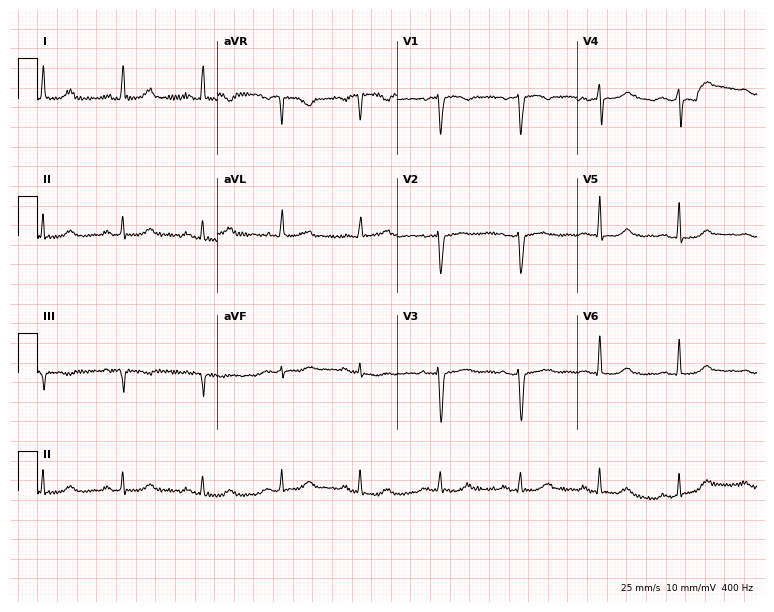
12-lead ECG from a 48-year-old female patient. Screened for six findings — first-degree AV block, right bundle branch block (RBBB), left bundle branch block (LBBB), sinus bradycardia, atrial fibrillation (AF), sinus tachycardia — none is recorded. Other findings, if any, are not listed.